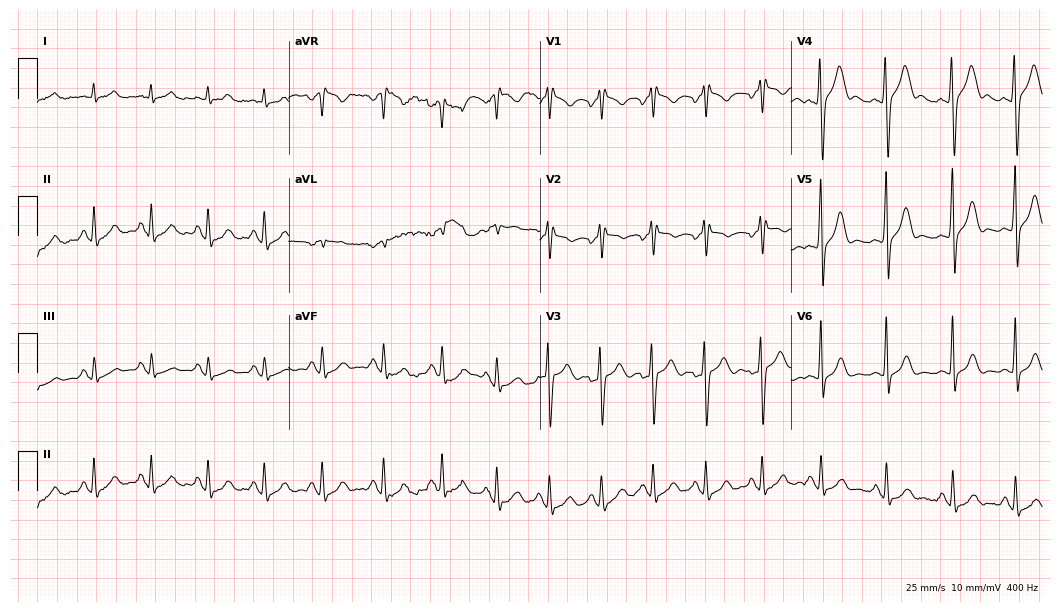
Resting 12-lead electrocardiogram (10.2-second recording at 400 Hz). Patient: a 25-year-old man. The tracing shows sinus tachycardia (a sinus rate of 100 beats per minute or more).